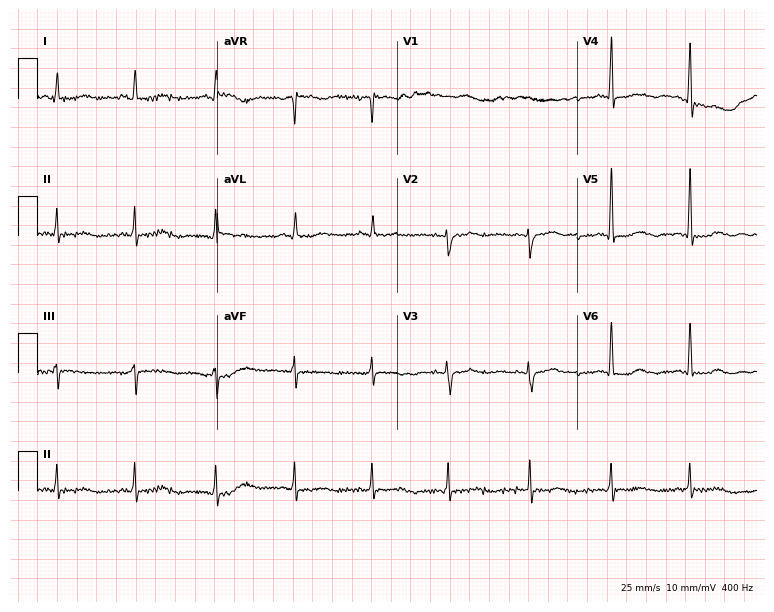
Resting 12-lead electrocardiogram. Patient: a female, 70 years old. None of these six findings is recorded: first-degree AV block, right bundle branch block, left bundle branch block, sinus bradycardia, atrial fibrillation, sinus tachycardia.